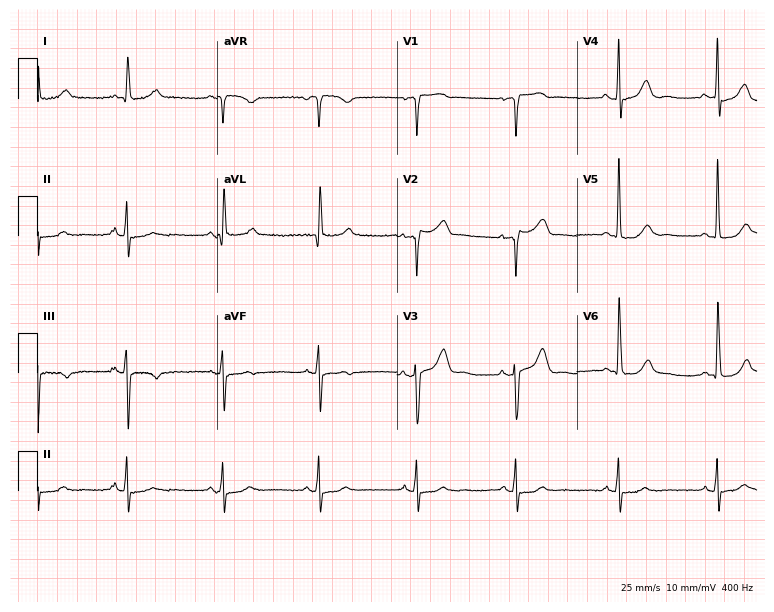
Resting 12-lead electrocardiogram. Patient: an 85-year-old female. None of these six findings is recorded: first-degree AV block, right bundle branch block, left bundle branch block, sinus bradycardia, atrial fibrillation, sinus tachycardia. Other findings, if any, are not listed.